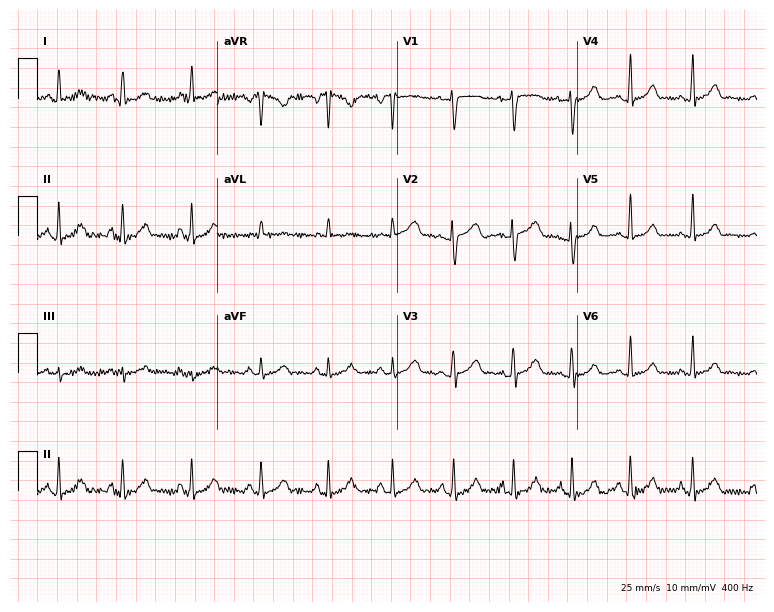
ECG — a 22-year-old female. Labelled as a normal ECG.